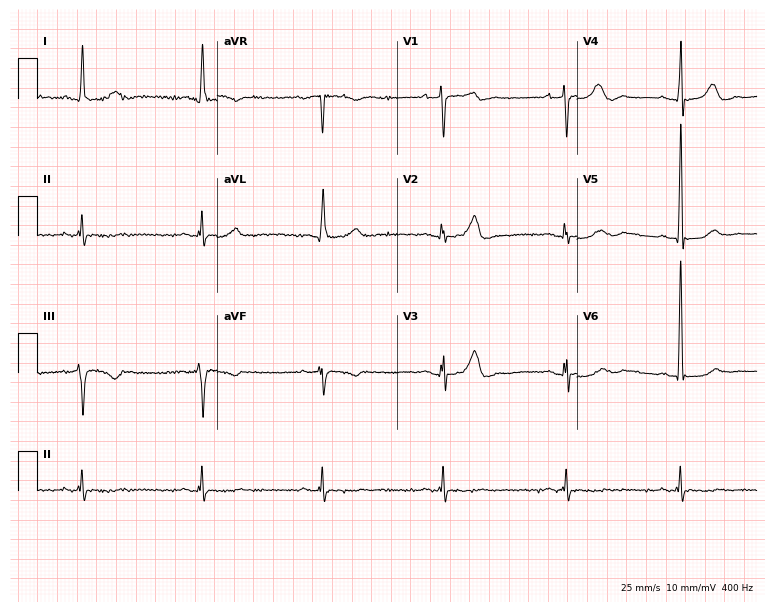
Resting 12-lead electrocardiogram (7.3-second recording at 400 Hz). Patient: a man, 70 years old. None of these six findings is recorded: first-degree AV block, right bundle branch block, left bundle branch block, sinus bradycardia, atrial fibrillation, sinus tachycardia. Other findings, if any, are not listed.